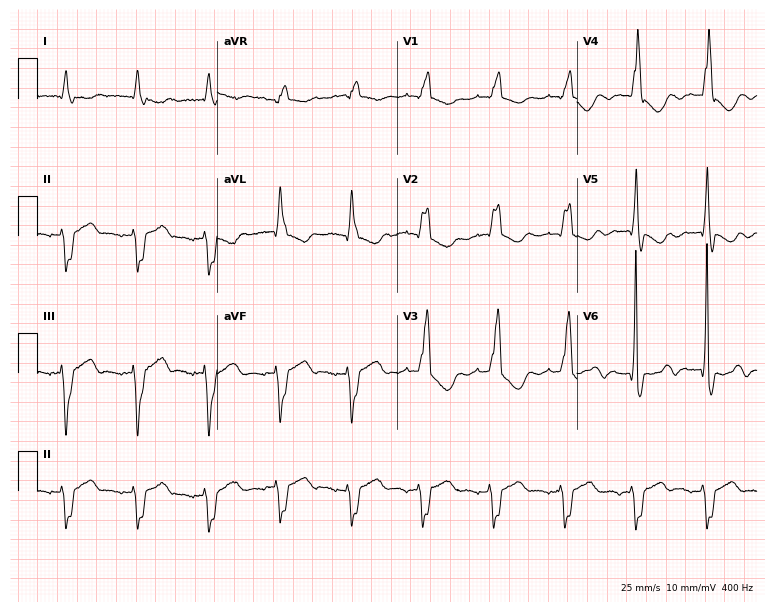
Standard 12-lead ECG recorded from a 53-year-old woman (7.3-second recording at 400 Hz). The tracing shows right bundle branch block.